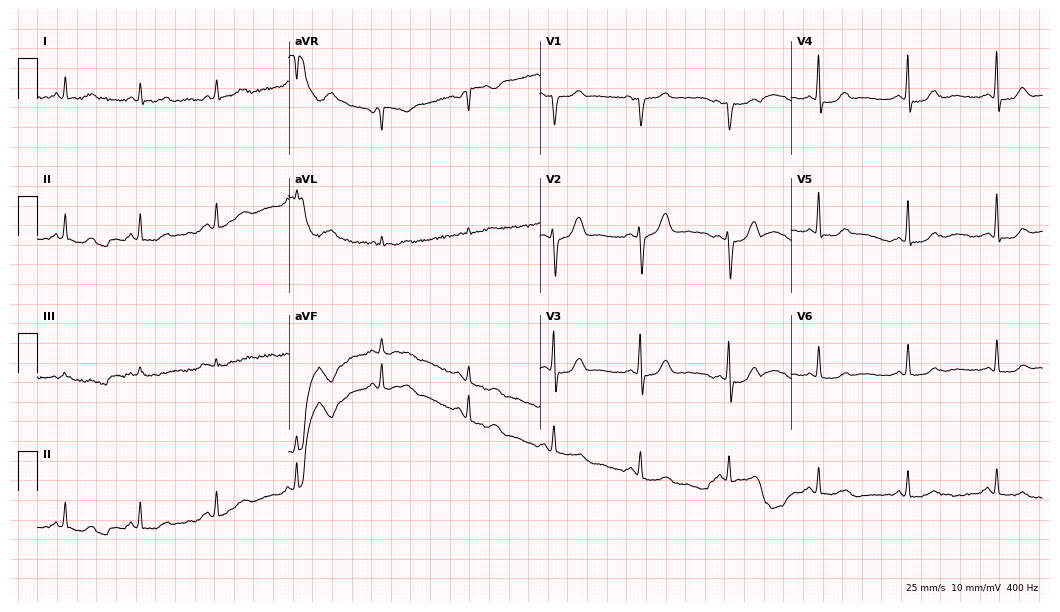
12-lead ECG from a male patient, 47 years old. No first-degree AV block, right bundle branch block (RBBB), left bundle branch block (LBBB), sinus bradycardia, atrial fibrillation (AF) or sinus tachycardia recorded for this tracing. Other findings, if any, are not listed.